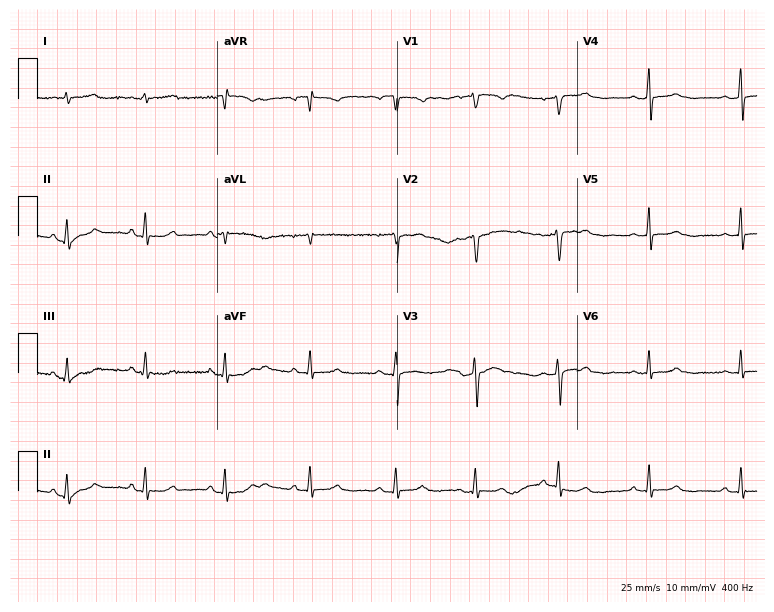
Electrocardiogram (7.3-second recording at 400 Hz), a female patient, 39 years old. Of the six screened findings (first-degree AV block, right bundle branch block (RBBB), left bundle branch block (LBBB), sinus bradycardia, atrial fibrillation (AF), sinus tachycardia), none is recorded. Other findings, if any, are not listed.